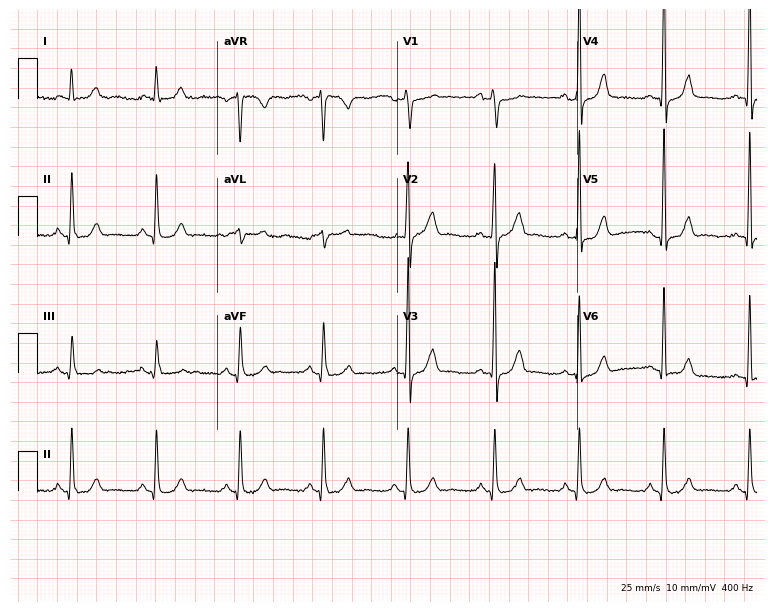
ECG (7.3-second recording at 400 Hz) — a male, 49 years old. Labelled as a normal ECG.